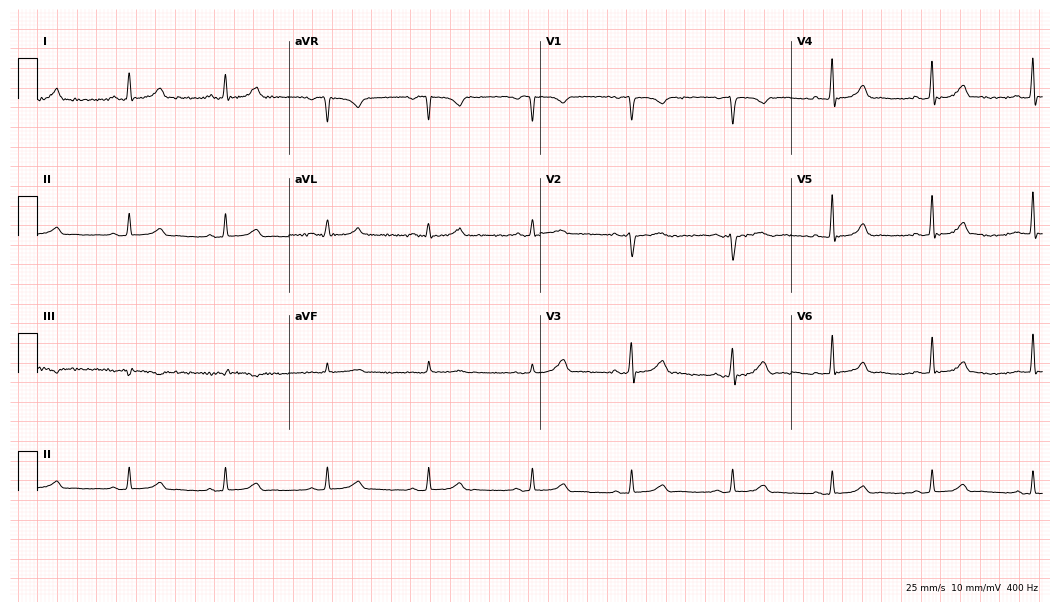
ECG — a woman, 41 years old. Labelled as a normal ECG.